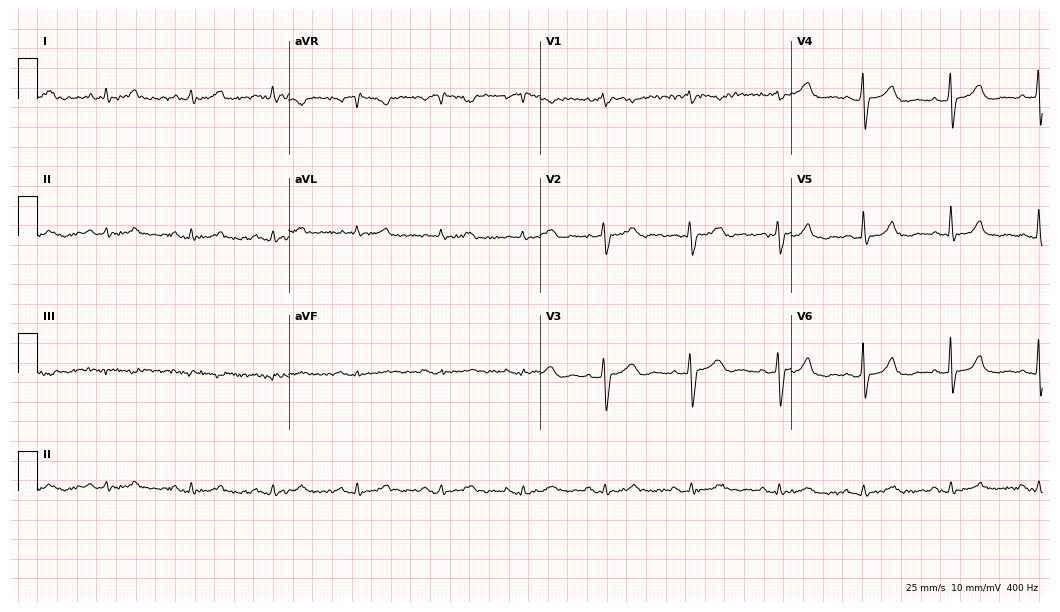
ECG (10.2-second recording at 400 Hz) — a 37-year-old female patient. Screened for six findings — first-degree AV block, right bundle branch block (RBBB), left bundle branch block (LBBB), sinus bradycardia, atrial fibrillation (AF), sinus tachycardia — none is recorded. Findings outside these six are not listed.